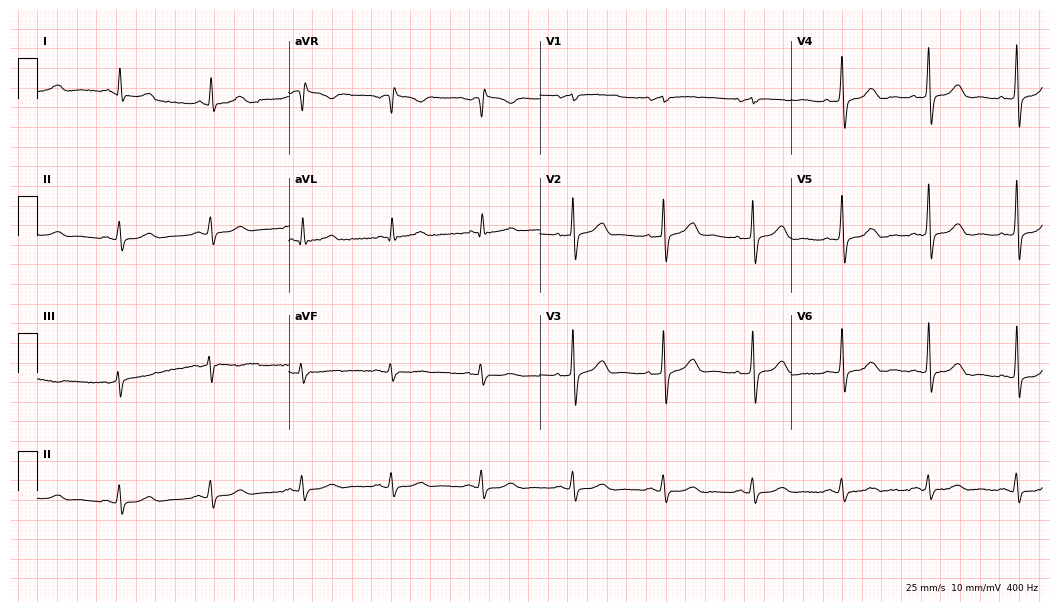
12-lead ECG from a male patient, 60 years old (10.2-second recording at 400 Hz). Recorded interpretation: within normal limits.